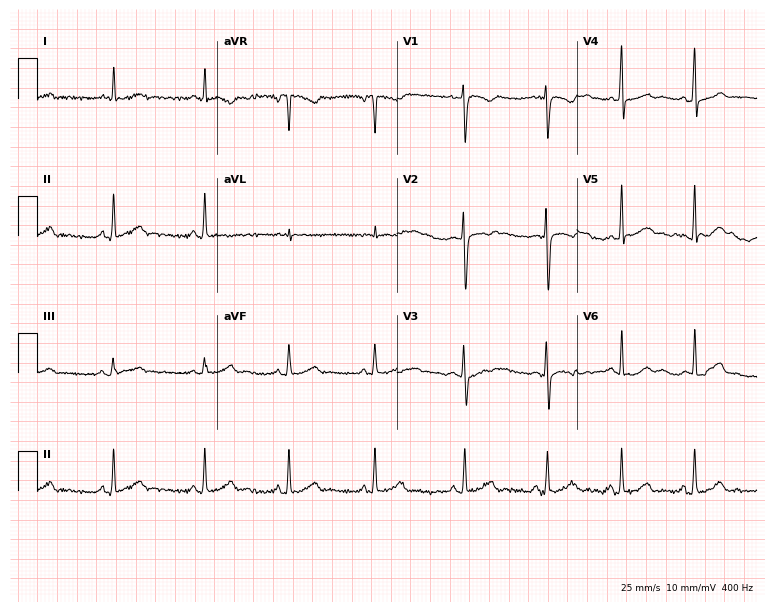
Standard 12-lead ECG recorded from a female patient, 17 years old. Read as a normal ECG.